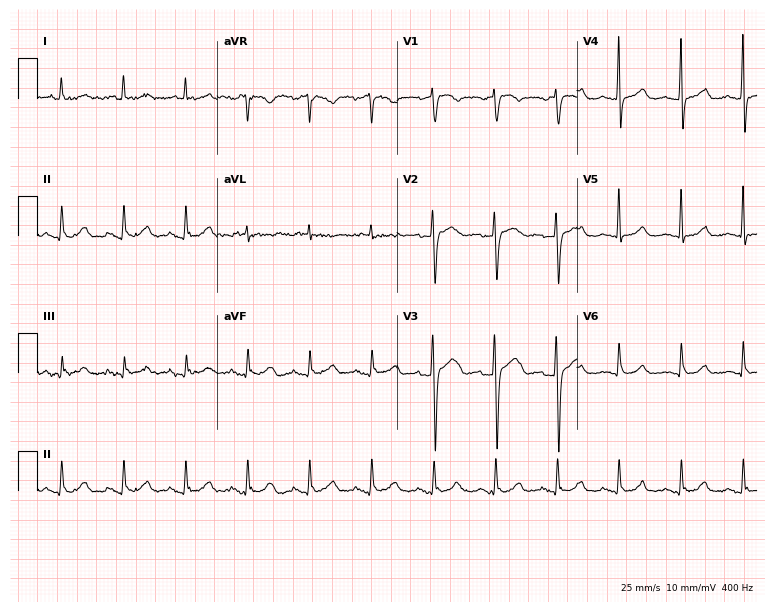
ECG (7.3-second recording at 400 Hz) — a 65-year-old female. Screened for six findings — first-degree AV block, right bundle branch block, left bundle branch block, sinus bradycardia, atrial fibrillation, sinus tachycardia — none is recorded. Only these six findings were labelled.